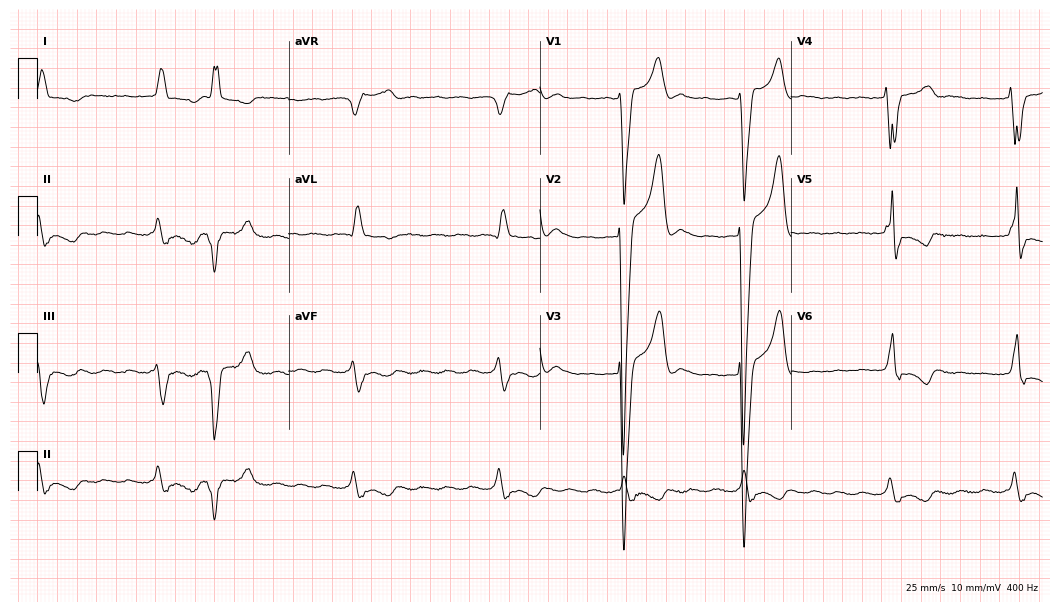
12-lead ECG from a male patient, 84 years old (10.2-second recording at 400 Hz). Shows left bundle branch block (LBBB), atrial fibrillation (AF).